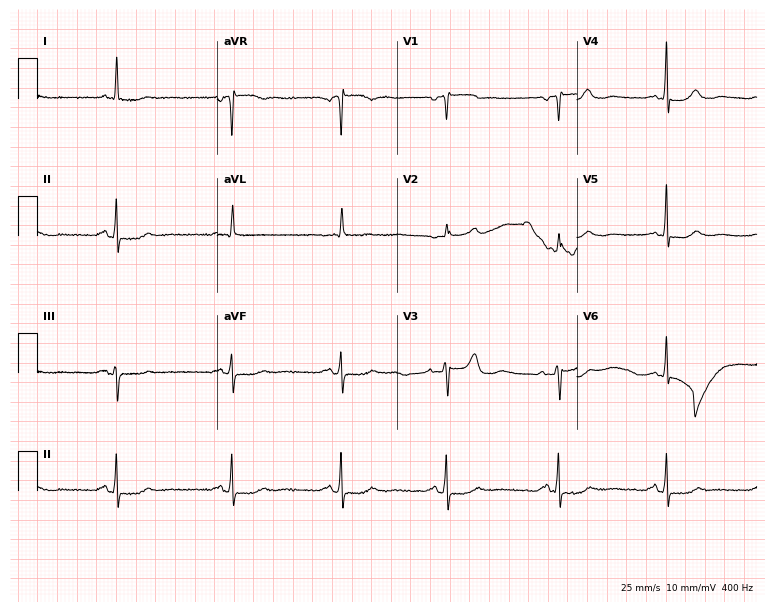
Standard 12-lead ECG recorded from an 84-year-old woman. Read as a normal ECG.